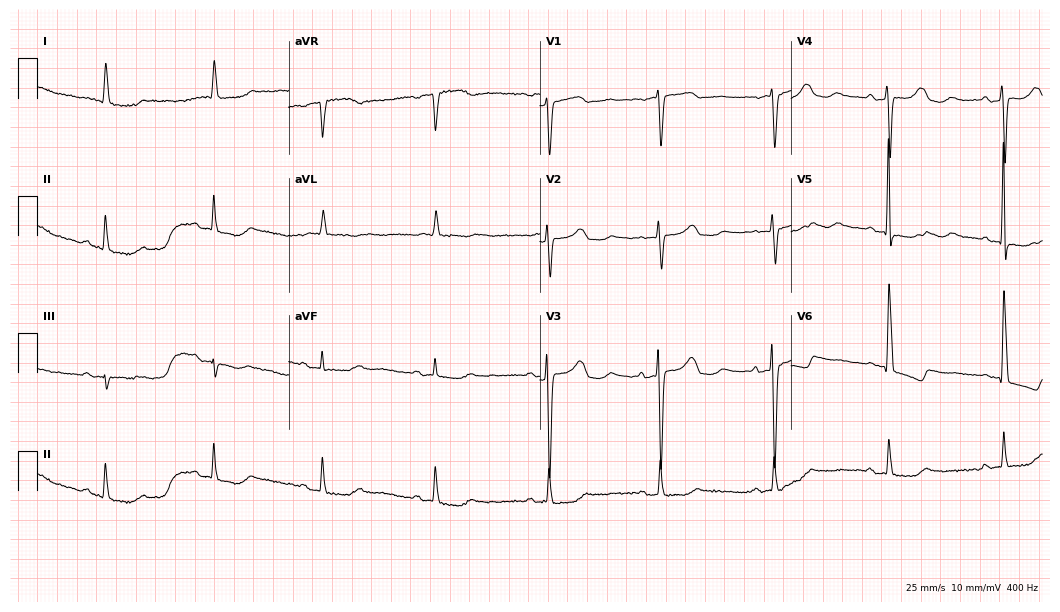
Resting 12-lead electrocardiogram (10.2-second recording at 400 Hz). Patient: a female, 84 years old. None of these six findings is recorded: first-degree AV block, right bundle branch block, left bundle branch block, sinus bradycardia, atrial fibrillation, sinus tachycardia.